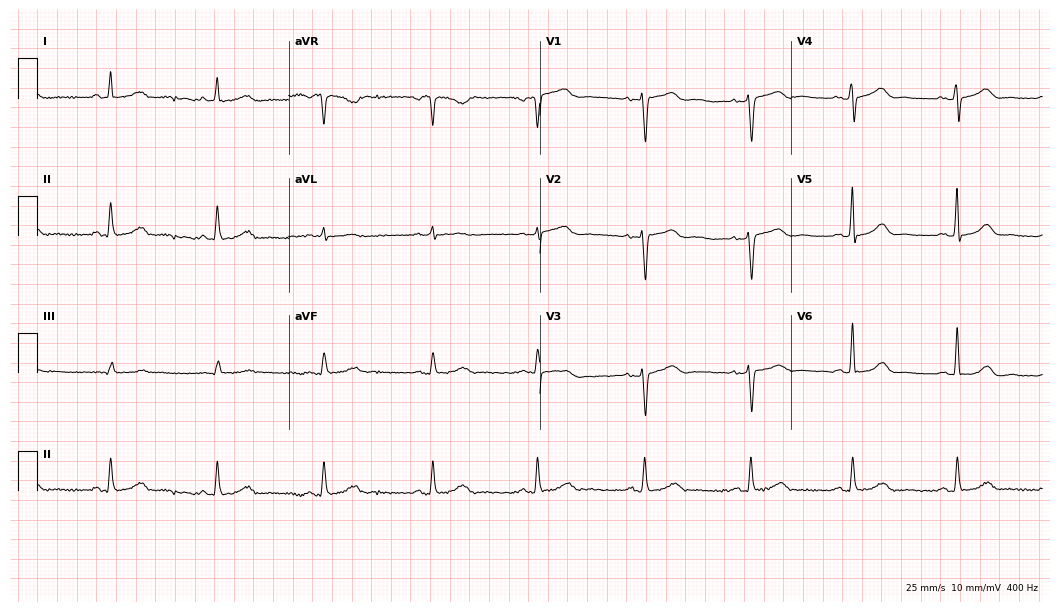
12-lead ECG from a 66-year-old woman. Labelled as a normal ECG.